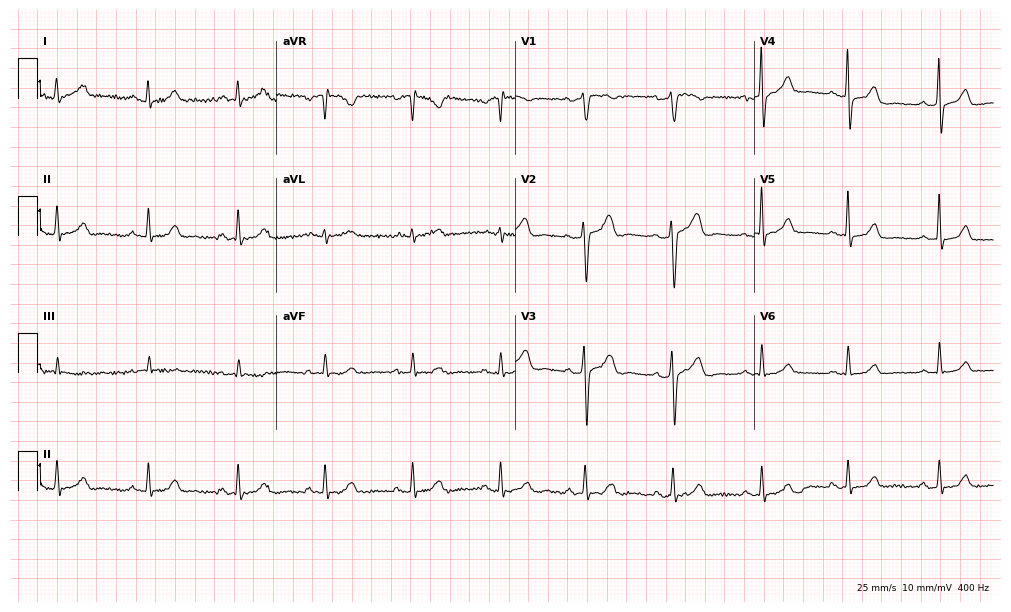
12-lead ECG (9.7-second recording at 400 Hz) from a male, 36 years old. Labelled as a normal ECG.